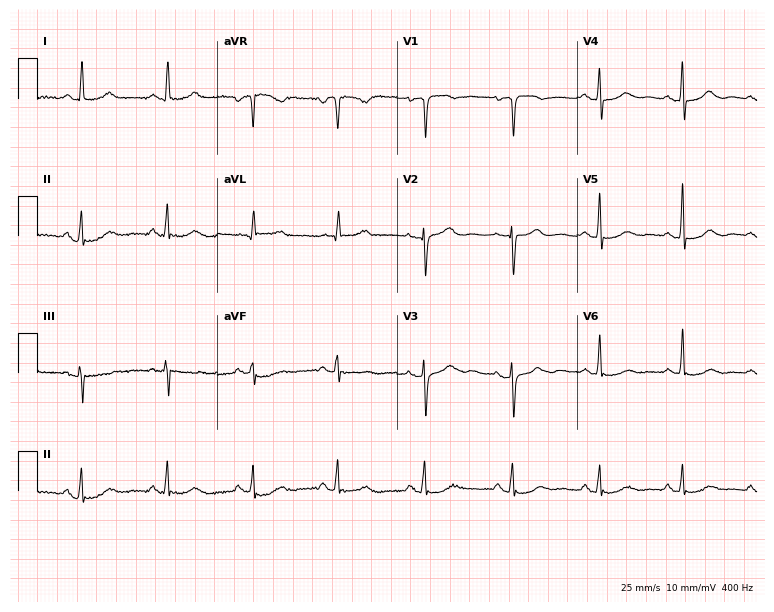
Electrocardiogram, a female, 63 years old. Of the six screened findings (first-degree AV block, right bundle branch block, left bundle branch block, sinus bradycardia, atrial fibrillation, sinus tachycardia), none is recorded. Findings outside these six are not listed.